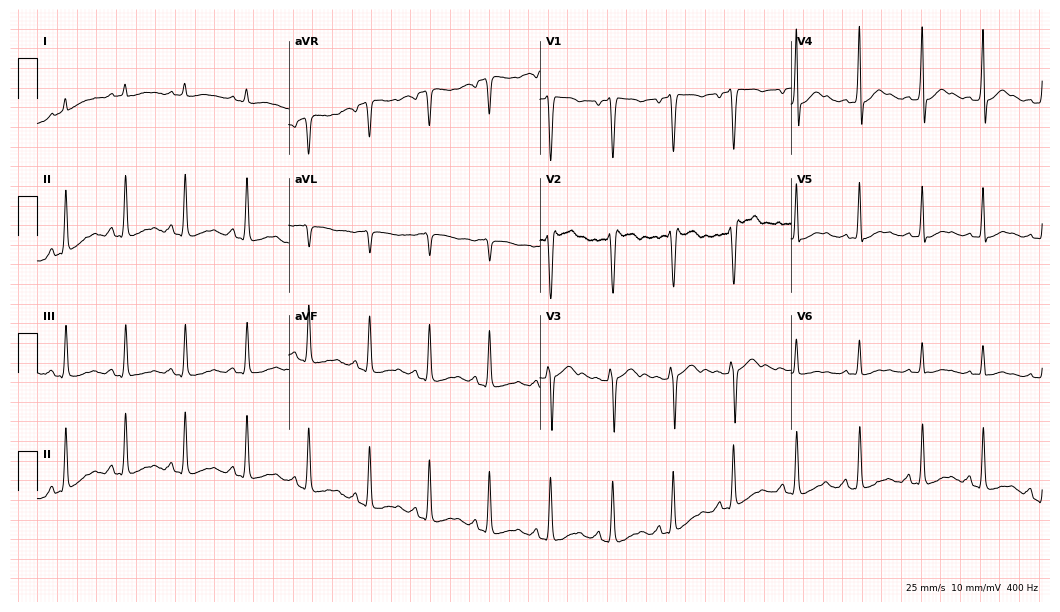
Standard 12-lead ECG recorded from a man, 38 years old (10.2-second recording at 400 Hz). None of these six findings is recorded: first-degree AV block, right bundle branch block, left bundle branch block, sinus bradycardia, atrial fibrillation, sinus tachycardia. Findings outside these six are not listed.